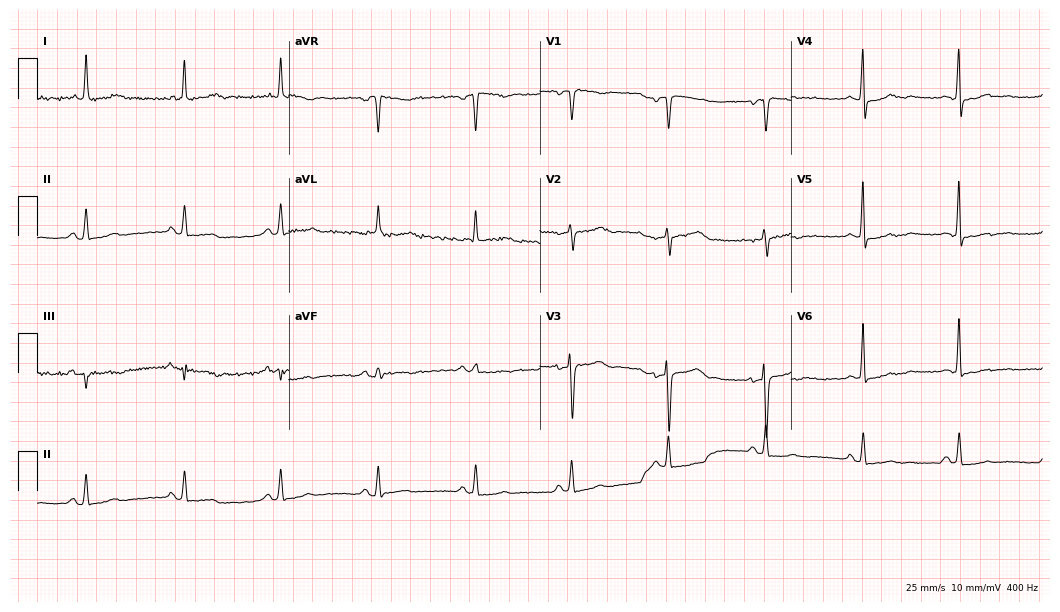
ECG — a female, 65 years old. Labelled as a normal ECG.